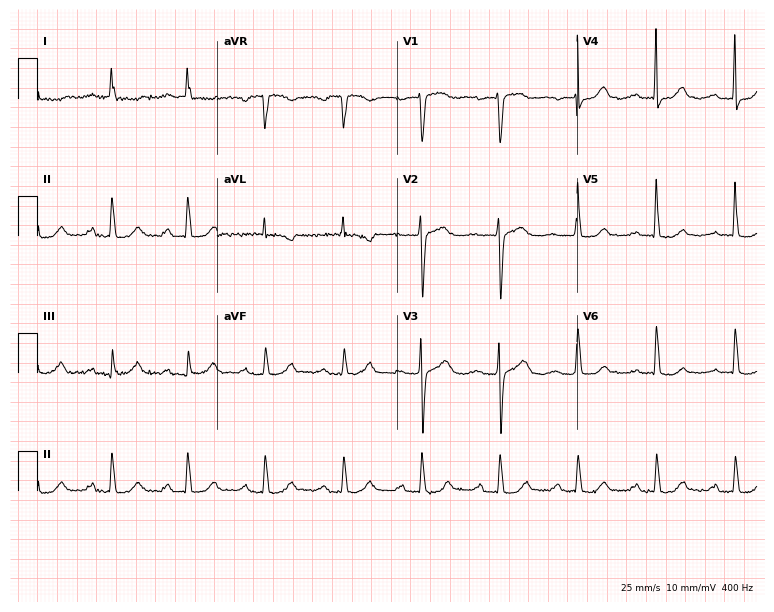
12-lead ECG from a 67-year-old female patient. Shows first-degree AV block.